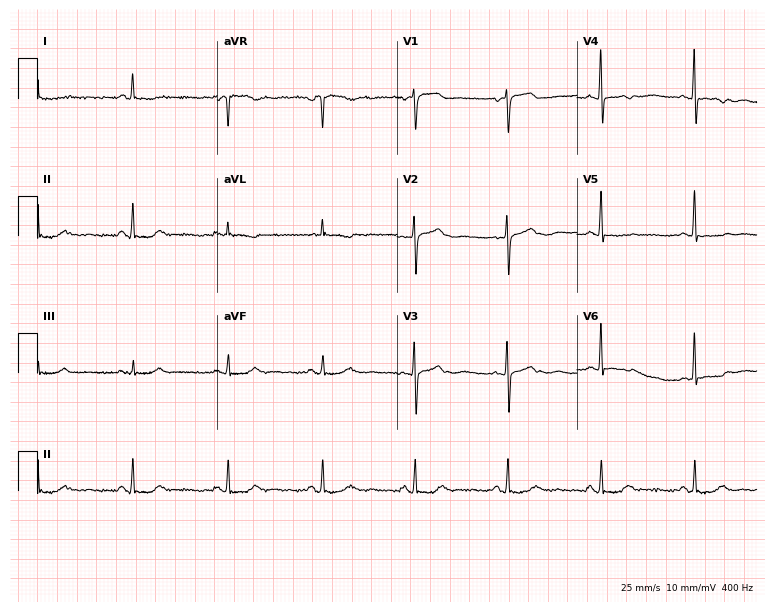
12-lead ECG from a 71-year-old female patient (7.3-second recording at 400 Hz). No first-degree AV block, right bundle branch block, left bundle branch block, sinus bradycardia, atrial fibrillation or sinus tachycardia recorded for this tracing. Only these six findings were labelled.